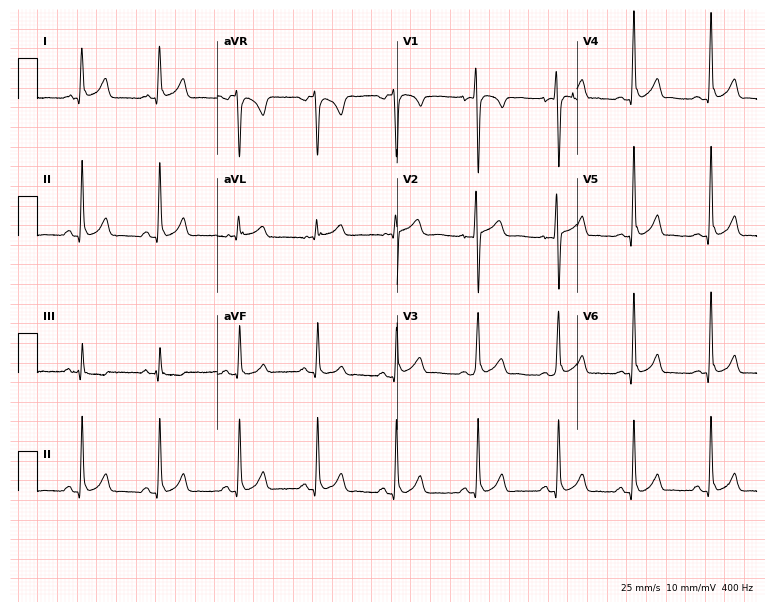
Electrocardiogram, a male patient, 21 years old. Of the six screened findings (first-degree AV block, right bundle branch block (RBBB), left bundle branch block (LBBB), sinus bradycardia, atrial fibrillation (AF), sinus tachycardia), none is recorded. Findings outside these six are not listed.